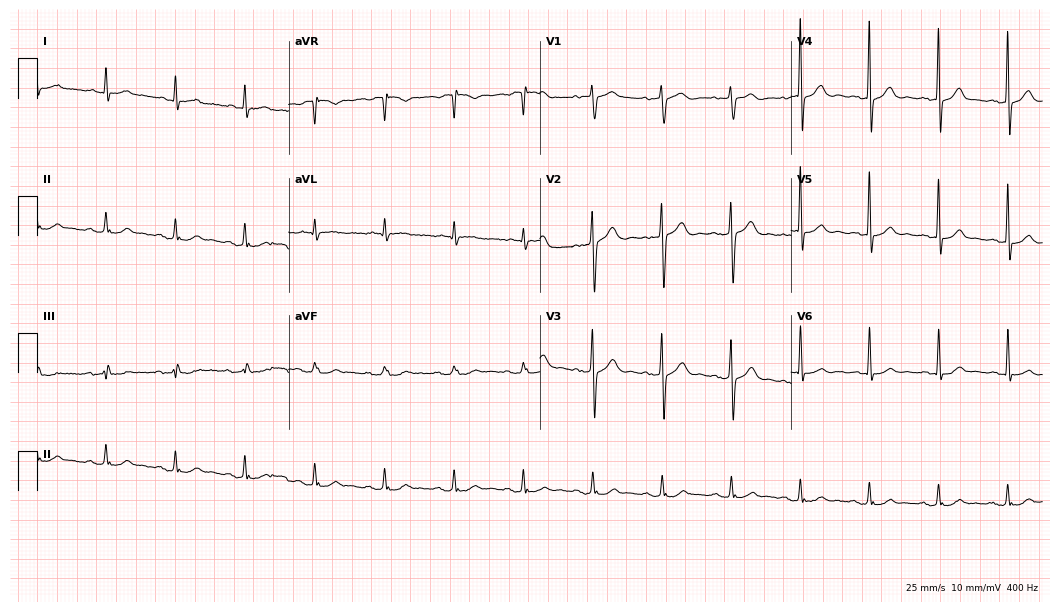
12-lead ECG from an 82-year-old female (10.2-second recording at 400 Hz). Recorded interpretation: within normal limits.